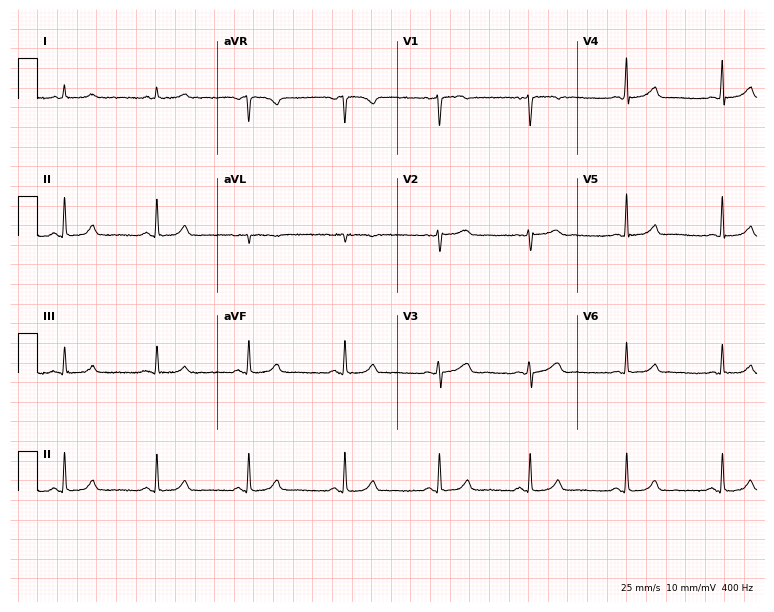
Resting 12-lead electrocardiogram (7.3-second recording at 400 Hz). Patient: a woman, 57 years old. Read as a normal ECG.